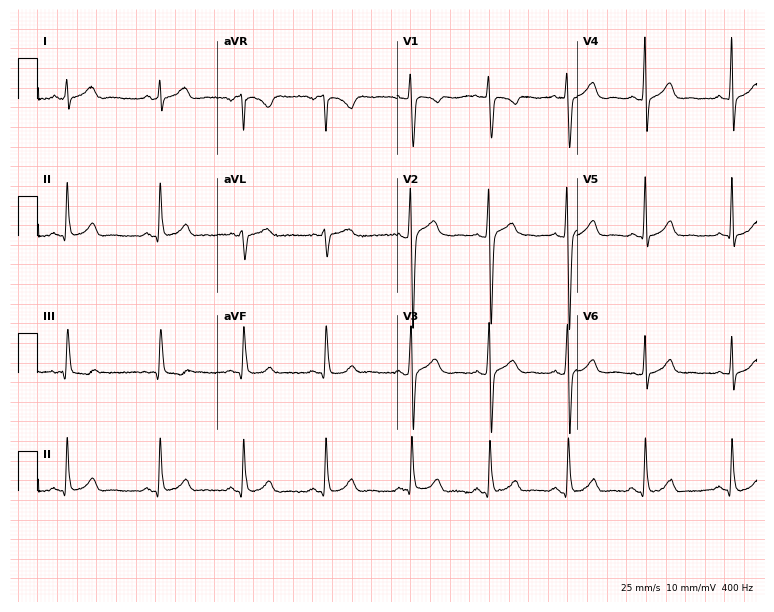
Resting 12-lead electrocardiogram (7.3-second recording at 400 Hz). Patient: a 21-year-old male. Read as a normal ECG.